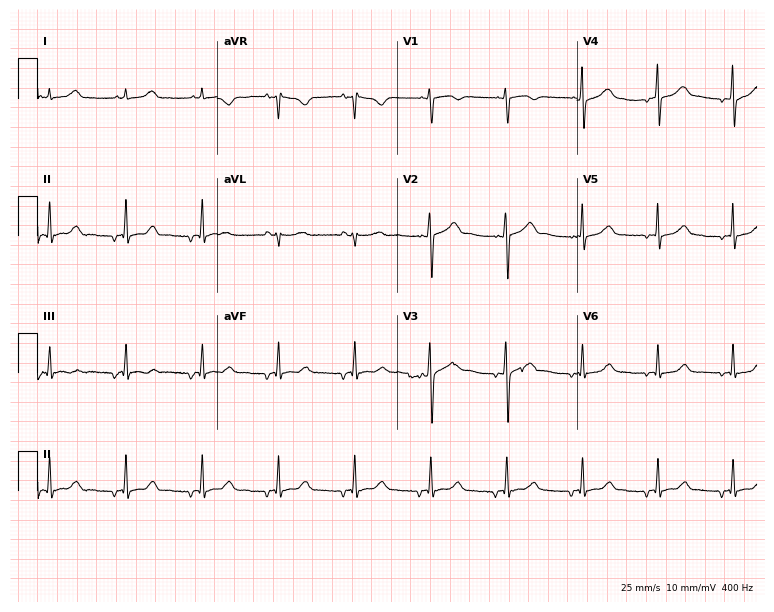
Standard 12-lead ECG recorded from a woman, 37 years old (7.3-second recording at 400 Hz). Read as a normal ECG.